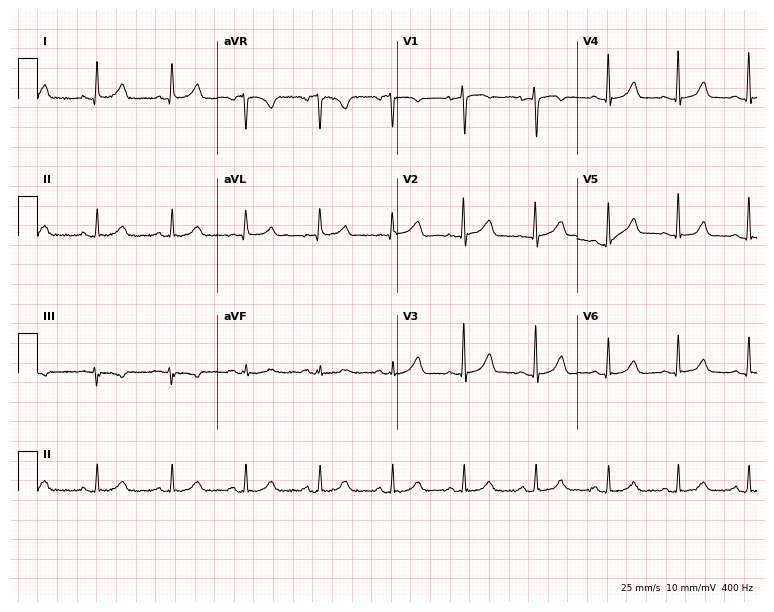
12-lead ECG from a 43-year-old female patient. Recorded interpretation: within normal limits.